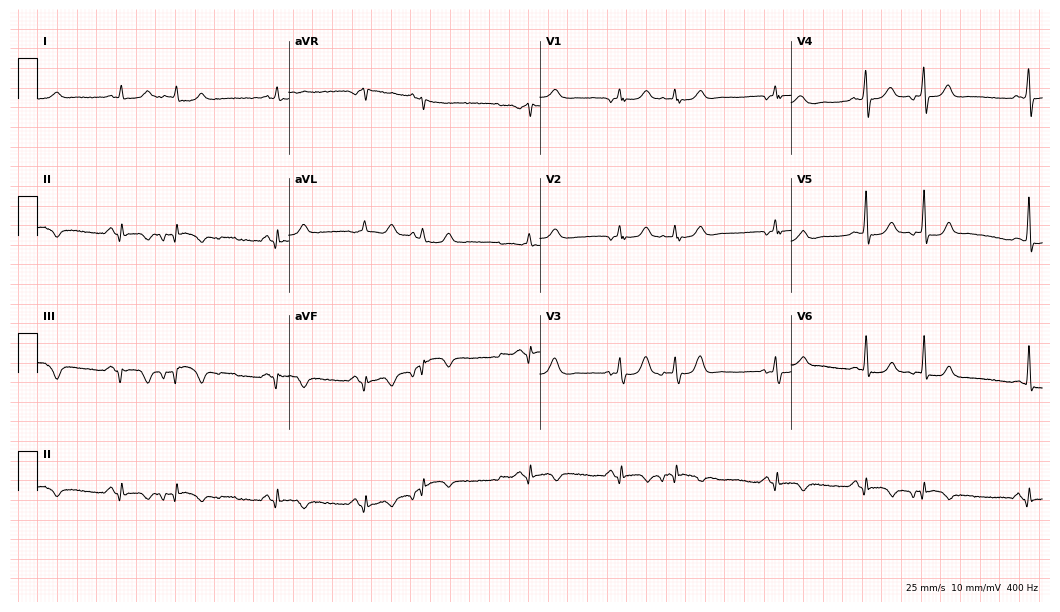
Electrocardiogram, a man, 52 years old. Of the six screened findings (first-degree AV block, right bundle branch block (RBBB), left bundle branch block (LBBB), sinus bradycardia, atrial fibrillation (AF), sinus tachycardia), none is recorded. Only these six findings were labelled.